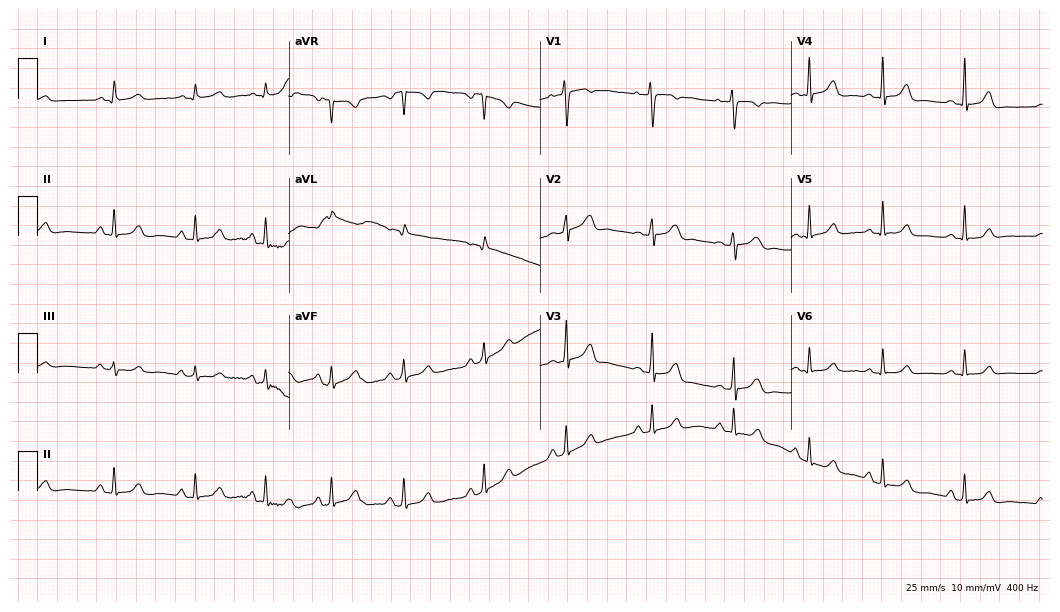
Electrocardiogram, a 19-year-old woman. Of the six screened findings (first-degree AV block, right bundle branch block, left bundle branch block, sinus bradycardia, atrial fibrillation, sinus tachycardia), none is recorded. Only these six findings were labelled.